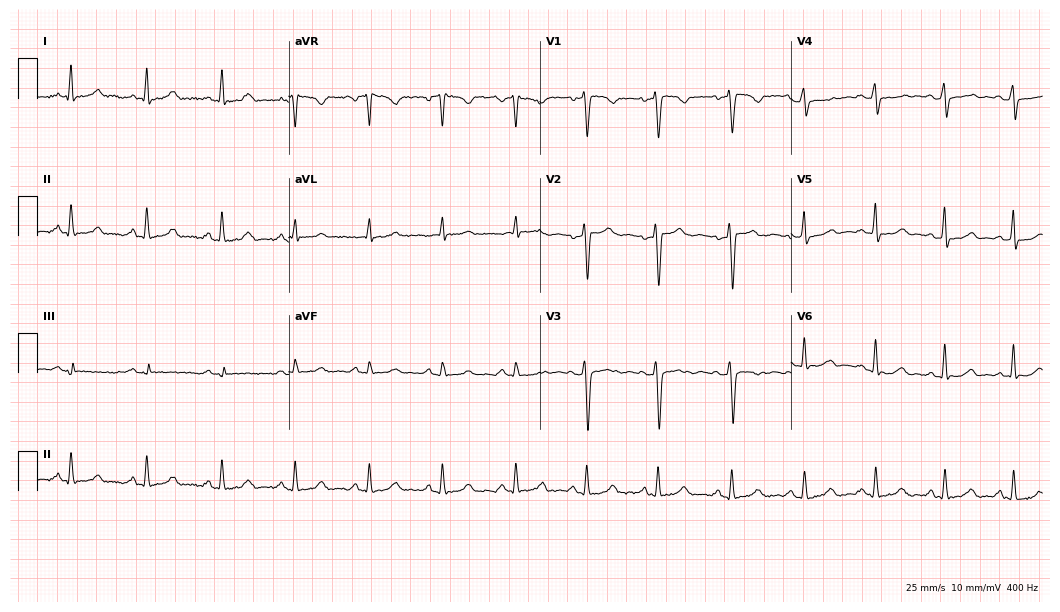
Electrocardiogram (10.2-second recording at 400 Hz), a woman, 41 years old. Of the six screened findings (first-degree AV block, right bundle branch block, left bundle branch block, sinus bradycardia, atrial fibrillation, sinus tachycardia), none is recorded. Findings outside these six are not listed.